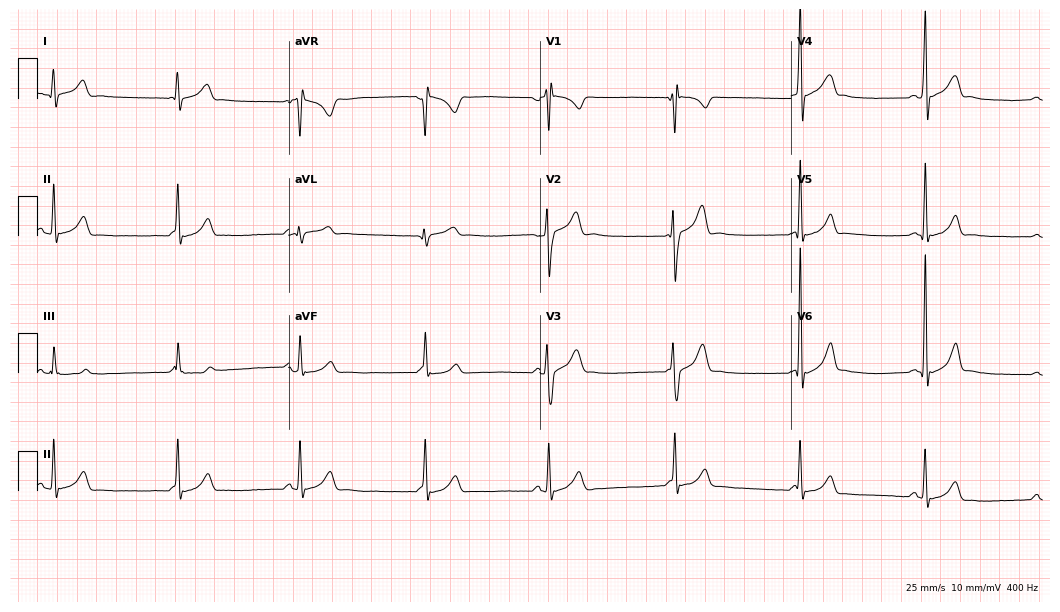
12-lead ECG (10.2-second recording at 400 Hz) from a male, 19 years old. Labelled as a normal ECG.